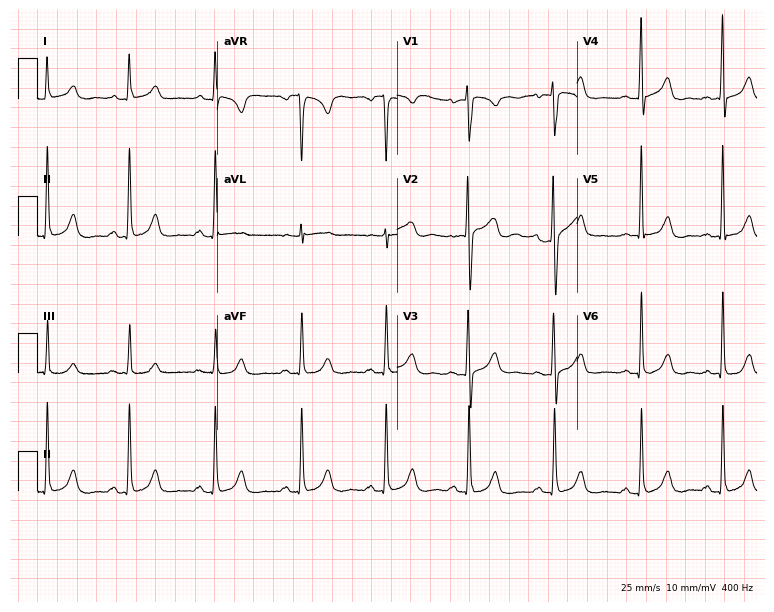
12-lead ECG from a female patient, 42 years old. No first-degree AV block, right bundle branch block (RBBB), left bundle branch block (LBBB), sinus bradycardia, atrial fibrillation (AF) or sinus tachycardia recorded for this tracing. Findings outside these six are not listed.